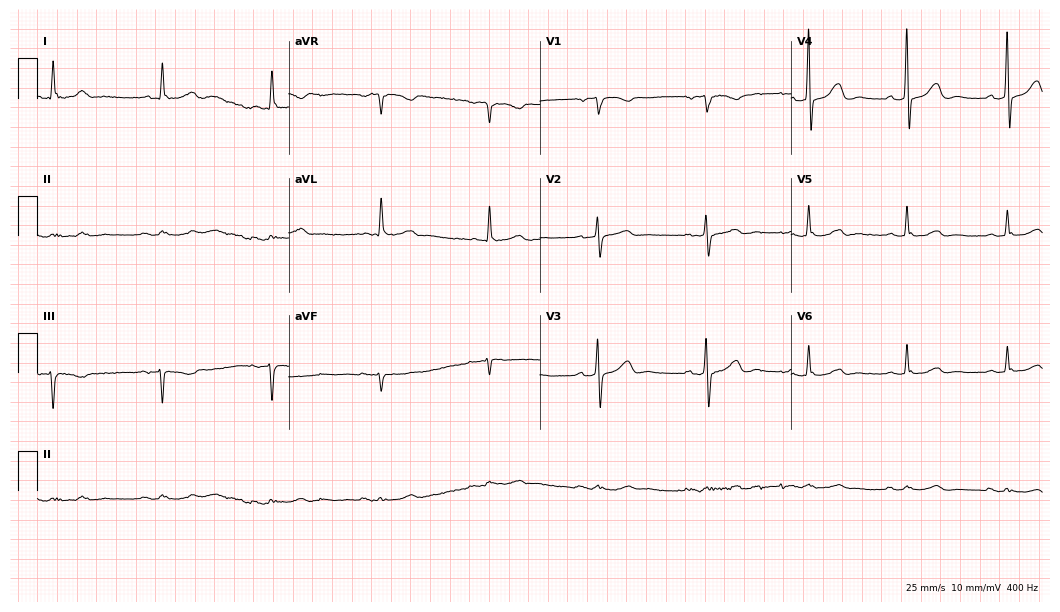
Resting 12-lead electrocardiogram. Patient: a male, 77 years old. None of these six findings is recorded: first-degree AV block, right bundle branch block, left bundle branch block, sinus bradycardia, atrial fibrillation, sinus tachycardia. Findings outside these six are not listed.